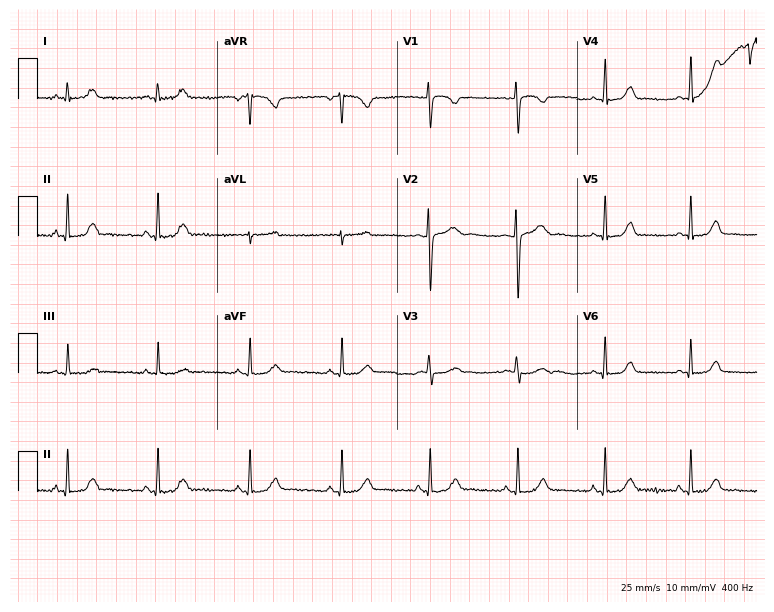
12-lead ECG from a 29-year-old female patient. Recorded interpretation: within normal limits.